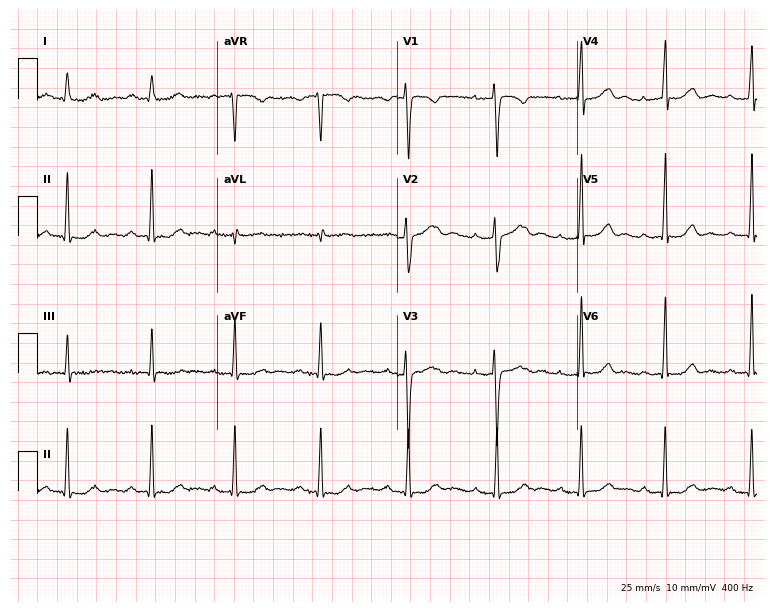
Standard 12-lead ECG recorded from a 31-year-old female. None of these six findings is recorded: first-degree AV block, right bundle branch block, left bundle branch block, sinus bradycardia, atrial fibrillation, sinus tachycardia. Other findings, if any, are not listed.